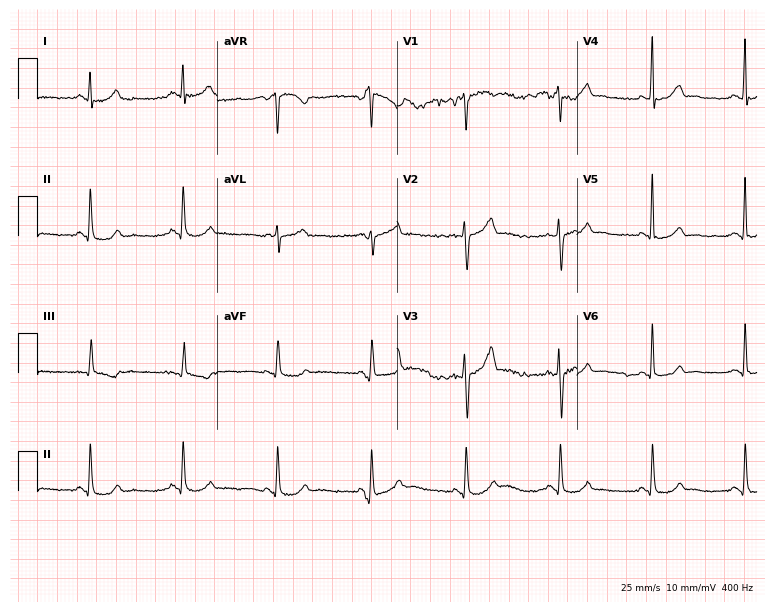
Standard 12-lead ECG recorded from a male patient, 64 years old. None of these six findings is recorded: first-degree AV block, right bundle branch block, left bundle branch block, sinus bradycardia, atrial fibrillation, sinus tachycardia.